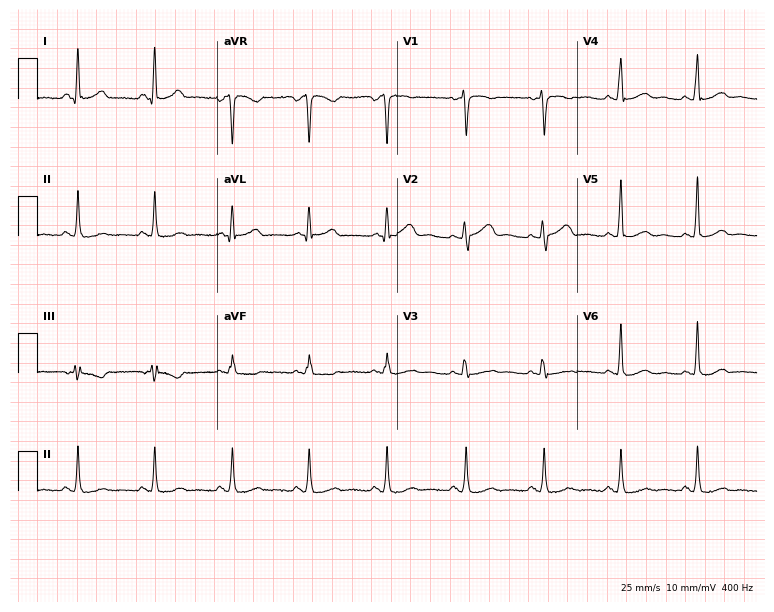
12-lead ECG (7.3-second recording at 400 Hz) from a woman, 45 years old. Labelled as a normal ECG.